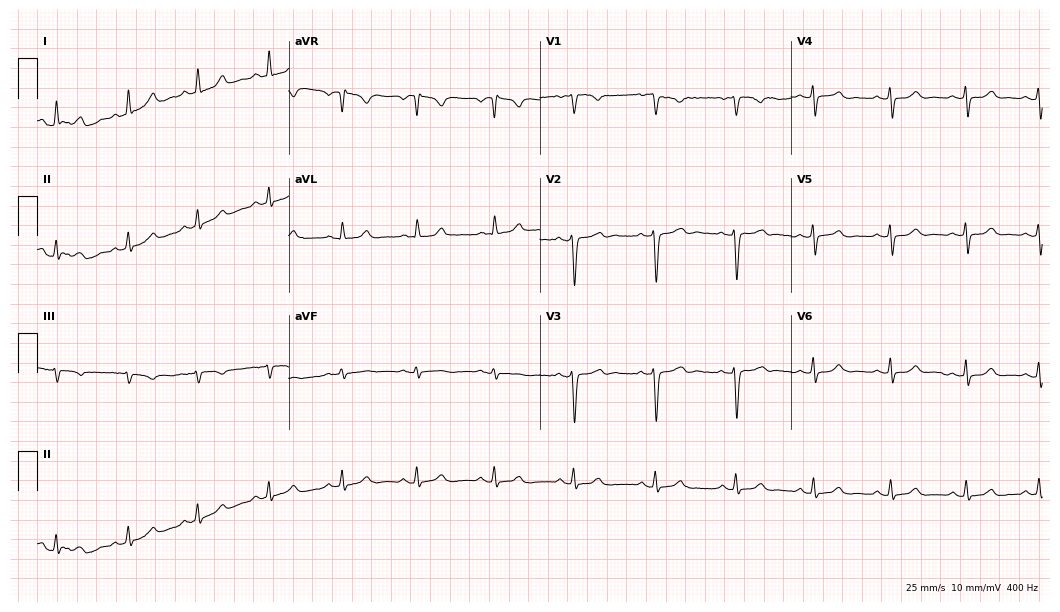
12-lead ECG from a 31-year-old woman. Recorded interpretation: within normal limits.